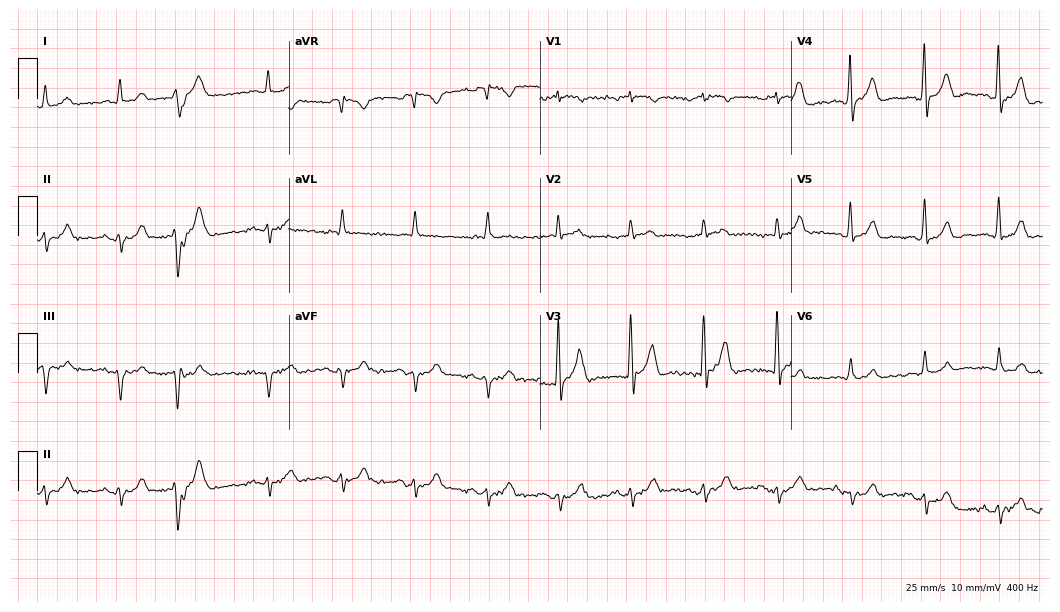
Resting 12-lead electrocardiogram. Patient: an 83-year-old man. None of these six findings is recorded: first-degree AV block, right bundle branch block, left bundle branch block, sinus bradycardia, atrial fibrillation, sinus tachycardia. Other findings, if any, are not listed.